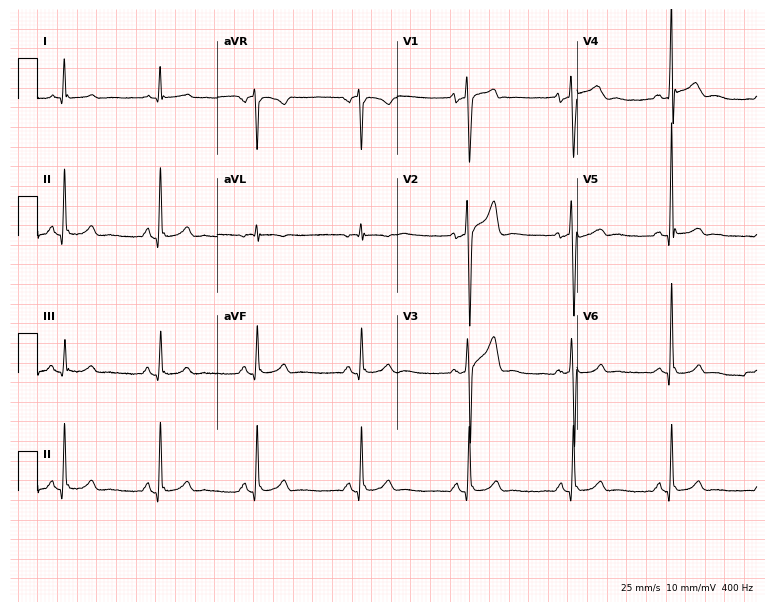
Electrocardiogram, a 35-year-old man. Of the six screened findings (first-degree AV block, right bundle branch block, left bundle branch block, sinus bradycardia, atrial fibrillation, sinus tachycardia), none is recorded. Findings outside these six are not listed.